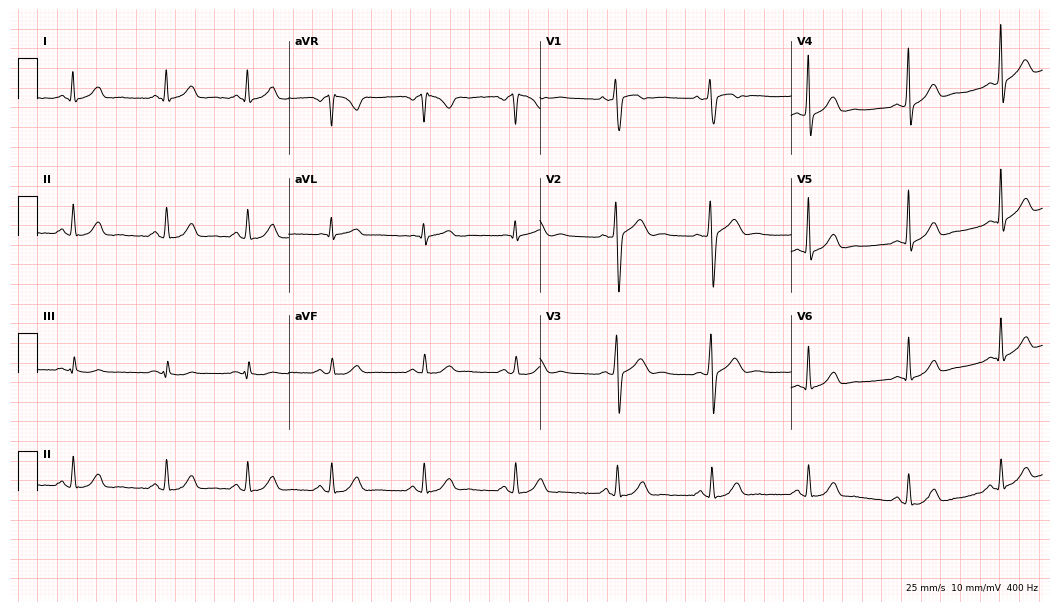
Standard 12-lead ECG recorded from a woman, 26 years old. None of these six findings is recorded: first-degree AV block, right bundle branch block, left bundle branch block, sinus bradycardia, atrial fibrillation, sinus tachycardia. Only these six findings were labelled.